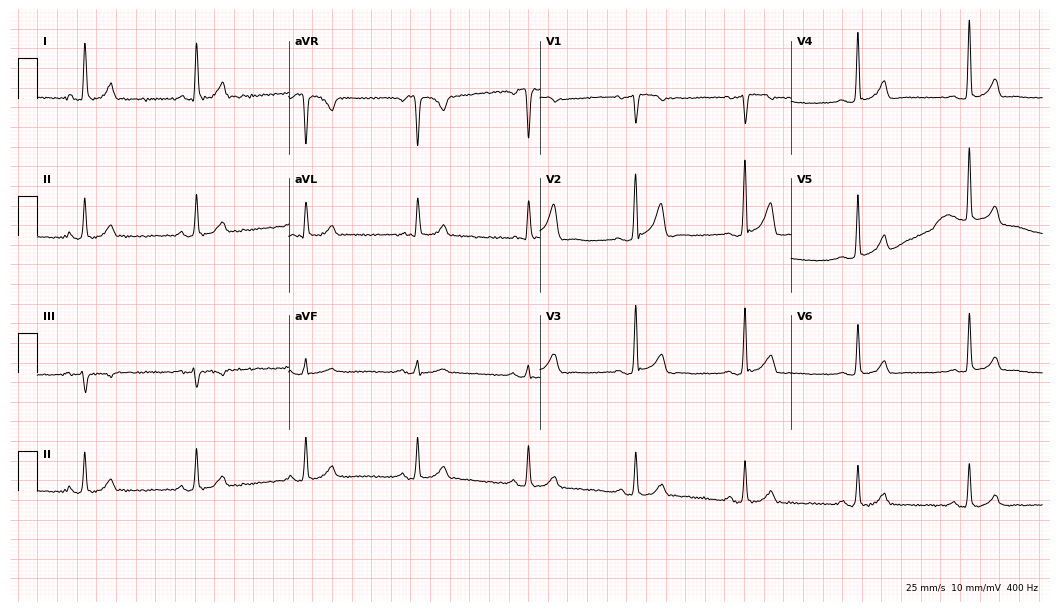
12-lead ECG from a 51-year-old man (10.2-second recording at 400 Hz). Recorded interpretation: within normal limits.